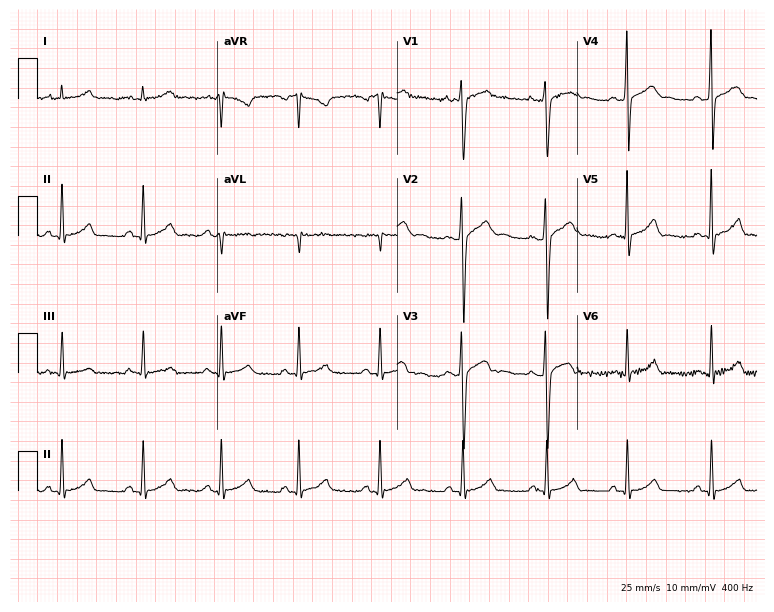
Electrocardiogram (7.3-second recording at 400 Hz), a 17-year-old man. Overall reading on record: normal ECG.